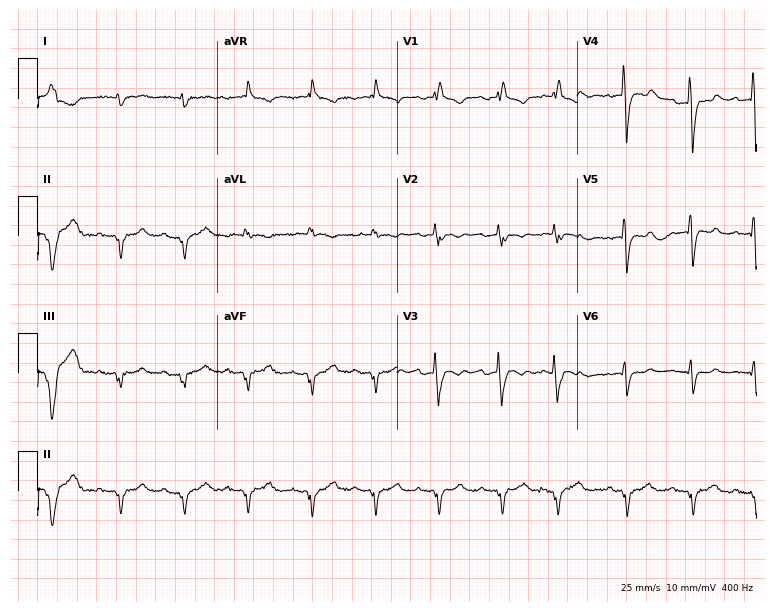
Standard 12-lead ECG recorded from a 71-year-old man. The tracing shows right bundle branch block.